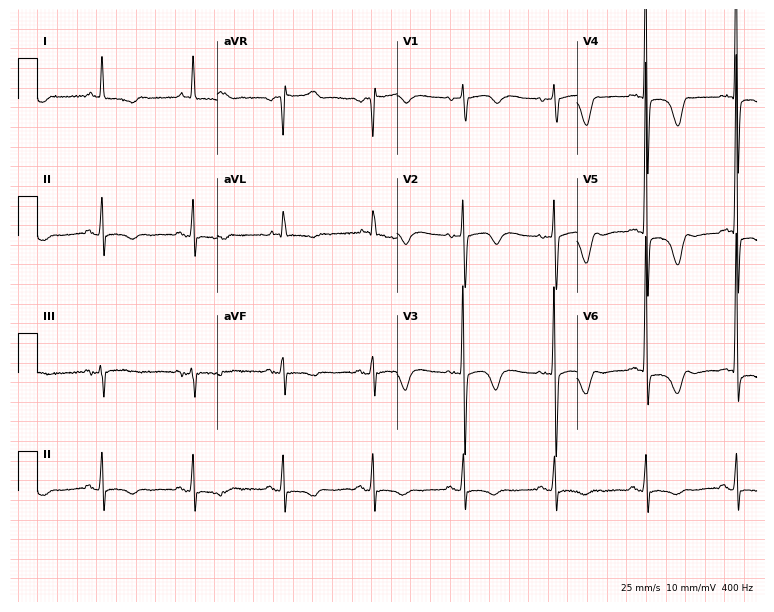
12-lead ECG from an 84-year-old female. No first-degree AV block, right bundle branch block, left bundle branch block, sinus bradycardia, atrial fibrillation or sinus tachycardia recorded for this tracing.